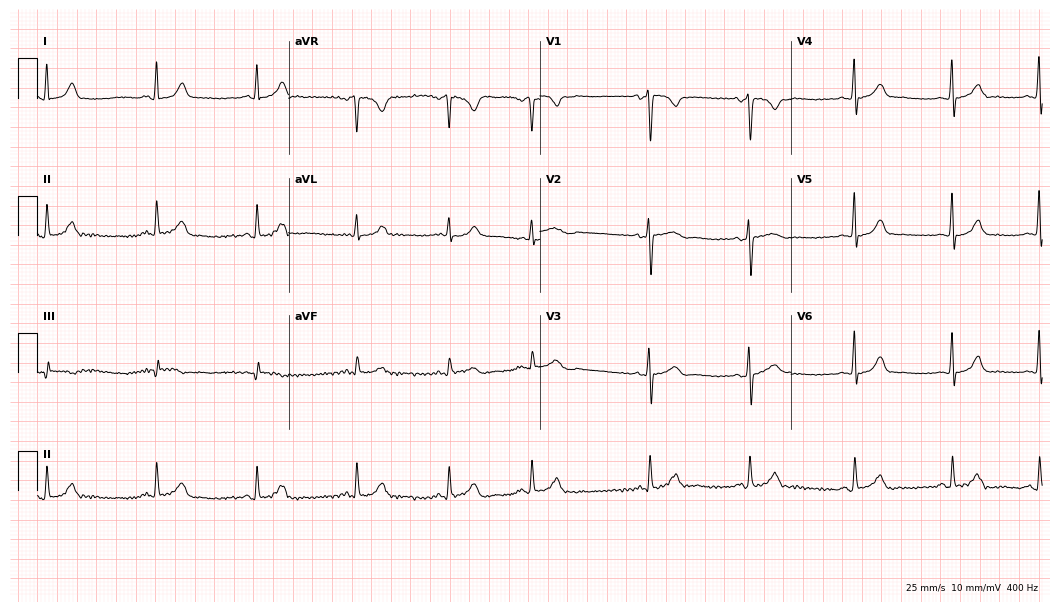
12-lead ECG from a female, 19 years old. Recorded interpretation: within normal limits.